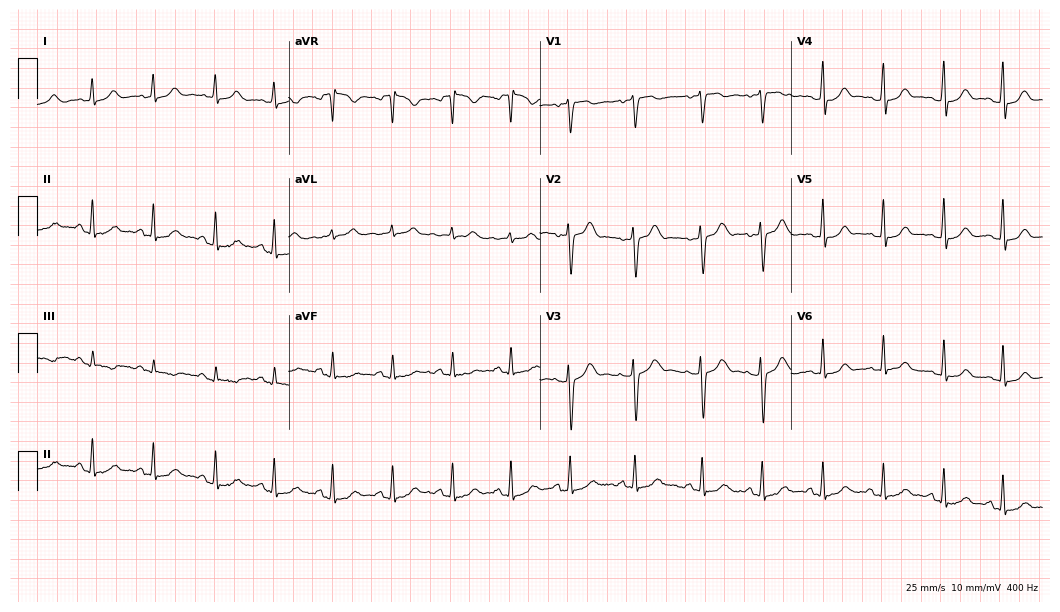
12-lead ECG (10.2-second recording at 400 Hz) from a female patient, 26 years old. Labelled as a normal ECG.